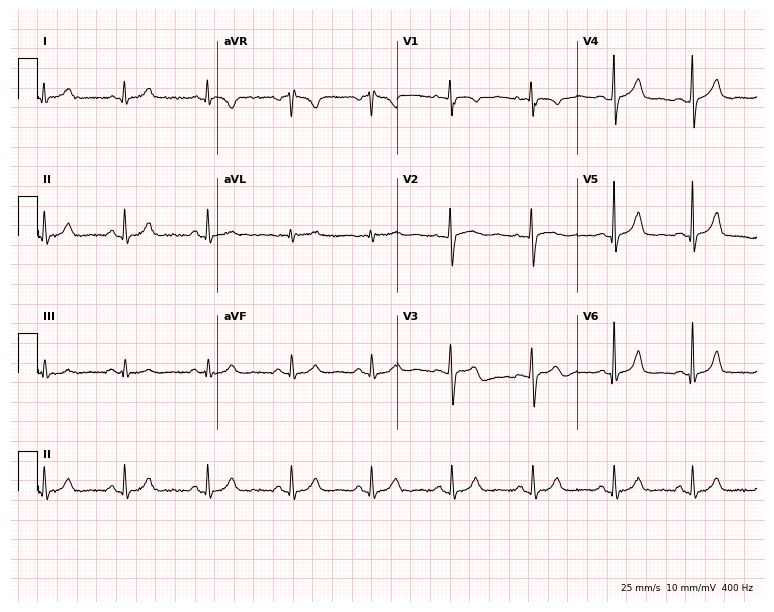
Resting 12-lead electrocardiogram (7.3-second recording at 400 Hz). Patient: a 28-year-old female. None of these six findings is recorded: first-degree AV block, right bundle branch block, left bundle branch block, sinus bradycardia, atrial fibrillation, sinus tachycardia. Findings outside these six are not listed.